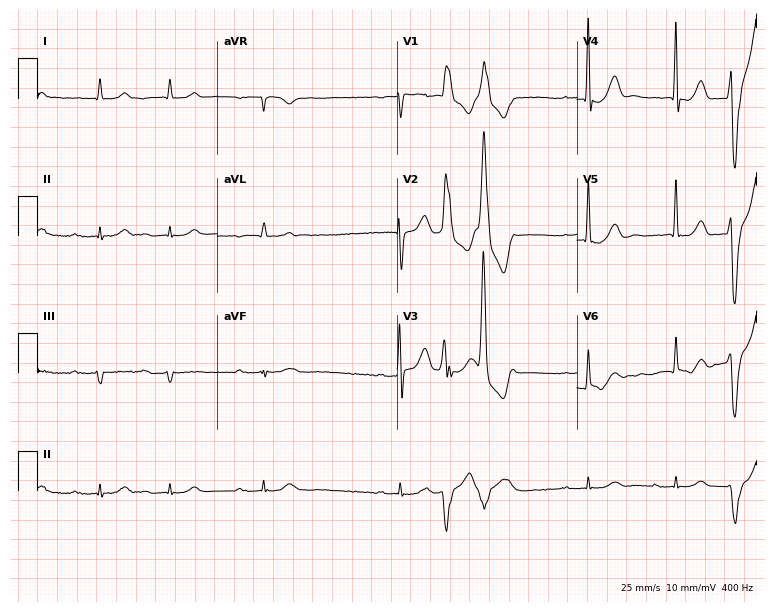
Electrocardiogram (7.3-second recording at 400 Hz), an 84-year-old man. Of the six screened findings (first-degree AV block, right bundle branch block, left bundle branch block, sinus bradycardia, atrial fibrillation, sinus tachycardia), none is recorded. Other findings, if any, are not listed.